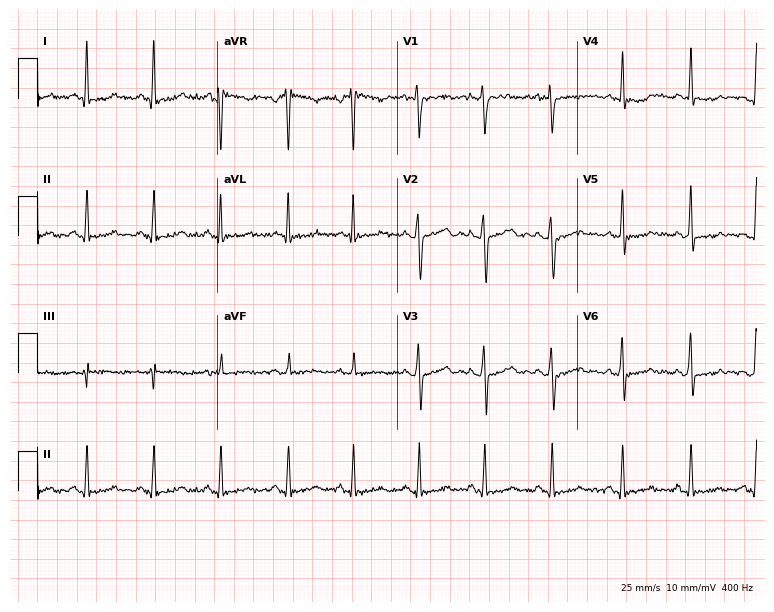
12-lead ECG from a female patient, 25 years old (7.3-second recording at 400 Hz). No first-degree AV block, right bundle branch block, left bundle branch block, sinus bradycardia, atrial fibrillation or sinus tachycardia recorded for this tracing. Findings outside these six are not listed.